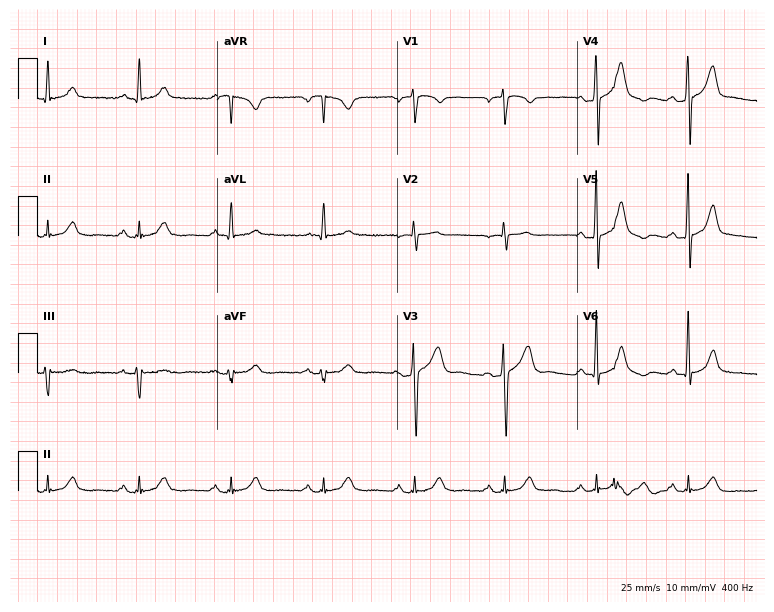
12-lead ECG (7.3-second recording at 400 Hz) from a 66-year-old man. Screened for six findings — first-degree AV block, right bundle branch block, left bundle branch block, sinus bradycardia, atrial fibrillation, sinus tachycardia — none is recorded. Only these six findings were labelled.